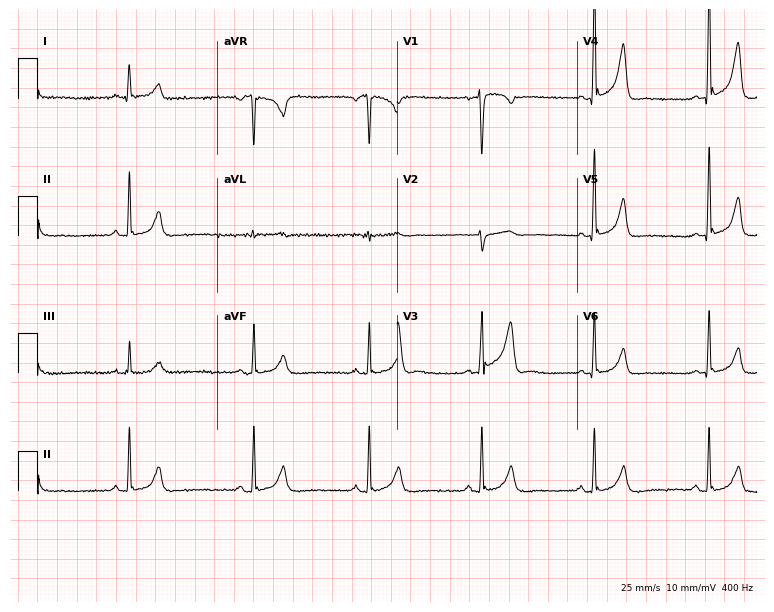
Electrocardiogram, a woman, 44 years old. Of the six screened findings (first-degree AV block, right bundle branch block, left bundle branch block, sinus bradycardia, atrial fibrillation, sinus tachycardia), none is recorded. Other findings, if any, are not listed.